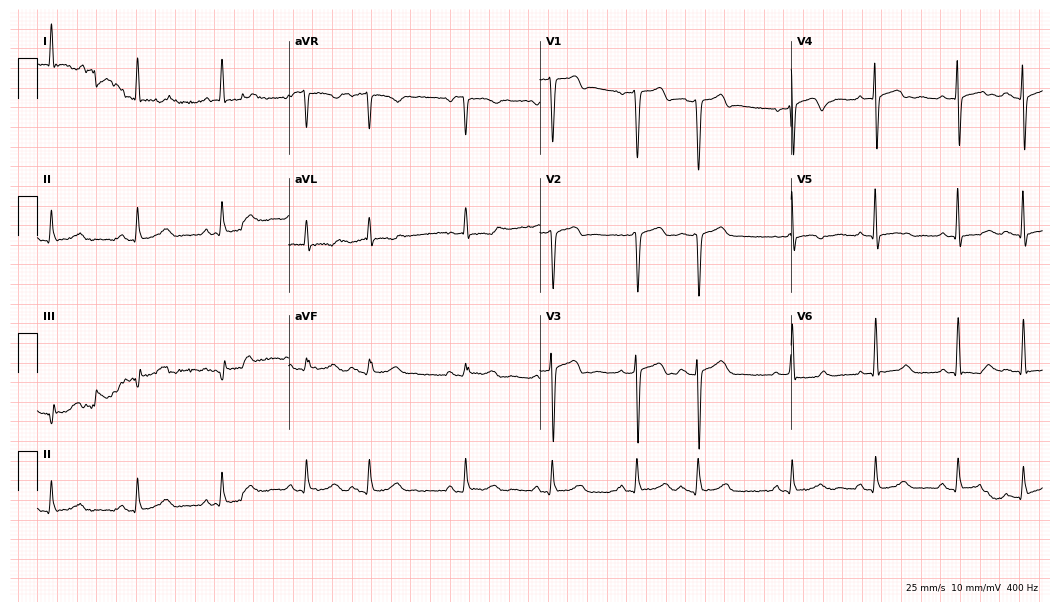
Standard 12-lead ECG recorded from a male patient, 55 years old. None of these six findings is recorded: first-degree AV block, right bundle branch block (RBBB), left bundle branch block (LBBB), sinus bradycardia, atrial fibrillation (AF), sinus tachycardia.